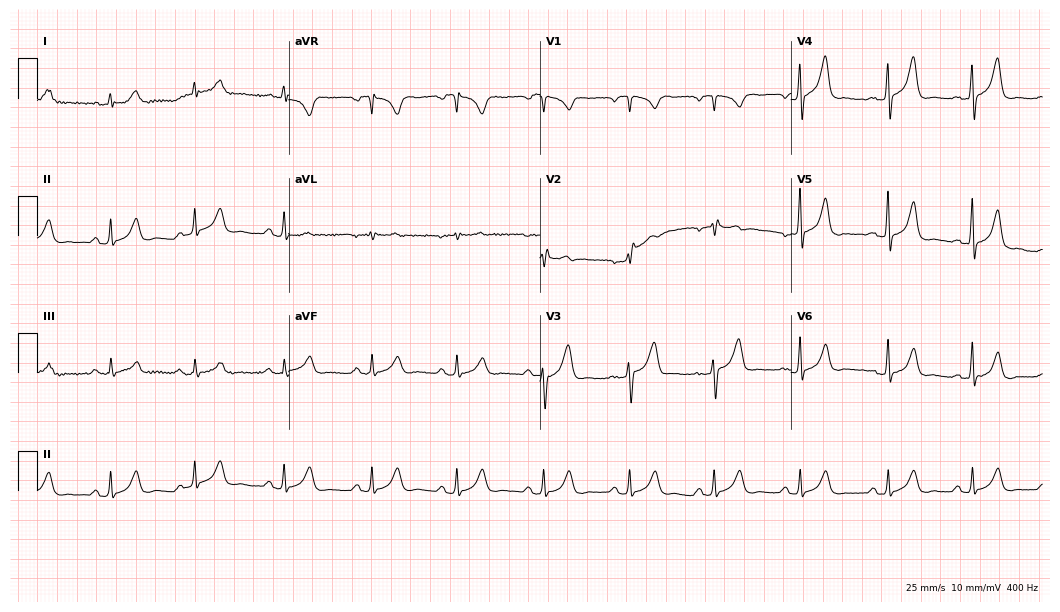
12-lead ECG from a 41-year-old man. Labelled as a normal ECG.